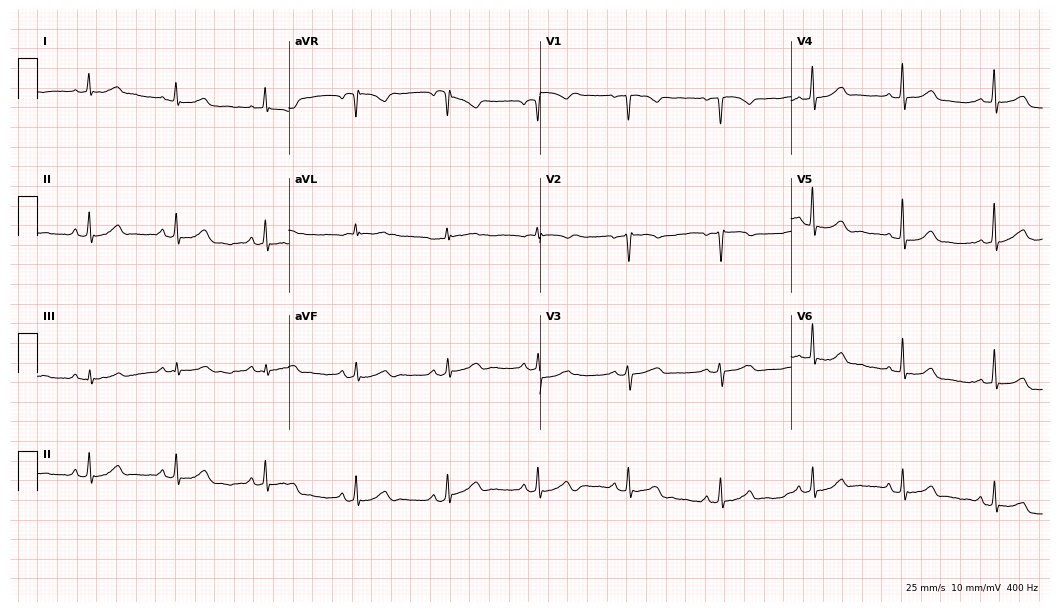
Standard 12-lead ECG recorded from a 48-year-old female patient. None of these six findings is recorded: first-degree AV block, right bundle branch block (RBBB), left bundle branch block (LBBB), sinus bradycardia, atrial fibrillation (AF), sinus tachycardia. Only these six findings were labelled.